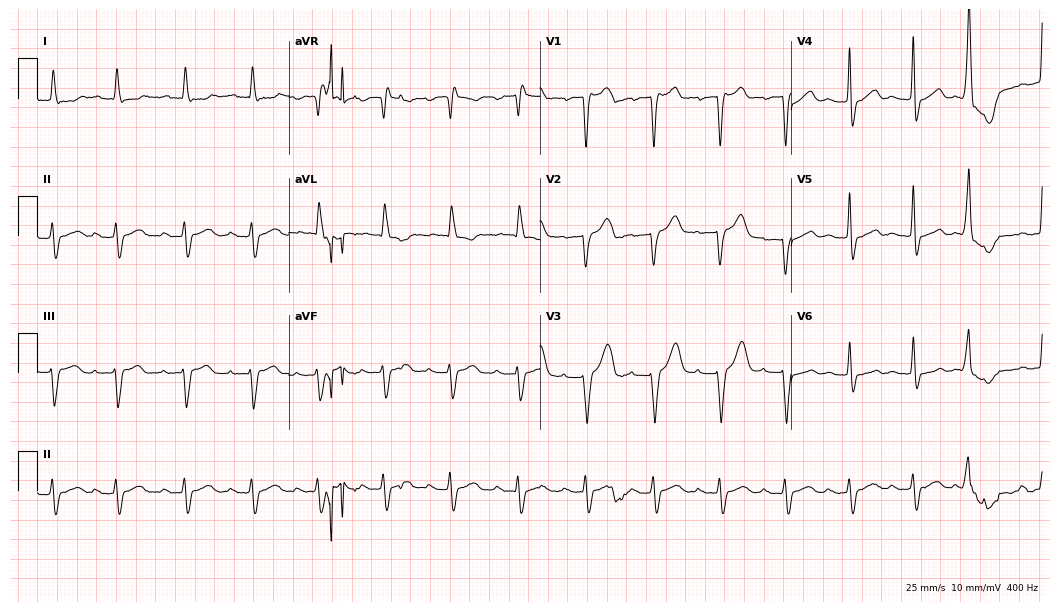
Electrocardiogram (10.2-second recording at 400 Hz), a man, 84 years old. Interpretation includes first-degree AV block.